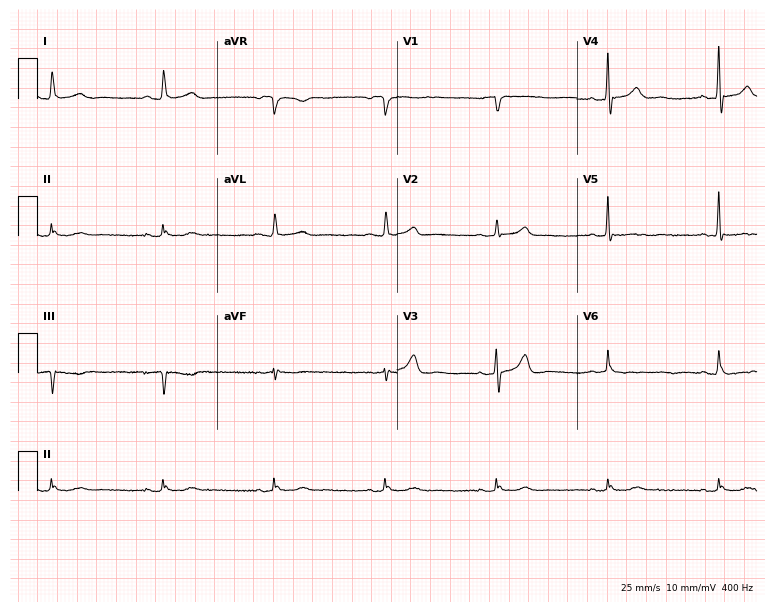
12-lead ECG from a male, 83 years old. Recorded interpretation: within normal limits.